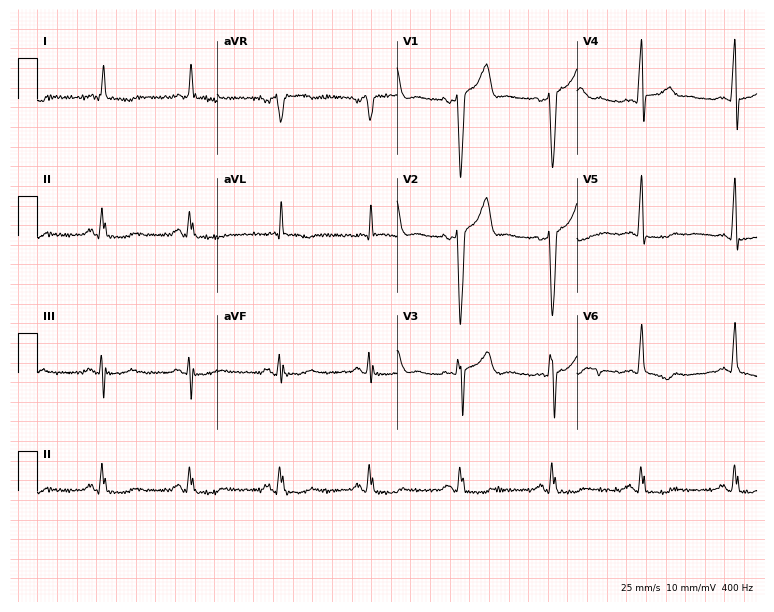
Resting 12-lead electrocardiogram (7.3-second recording at 400 Hz). Patient: a man, 71 years old. None of these six findings is recorded: first-degree AV block, right bundle branch block (RBBB), left bundle branch block (LBBB), sinus bradycardia, atrial fibrillation (AF), sinus tachycardia.